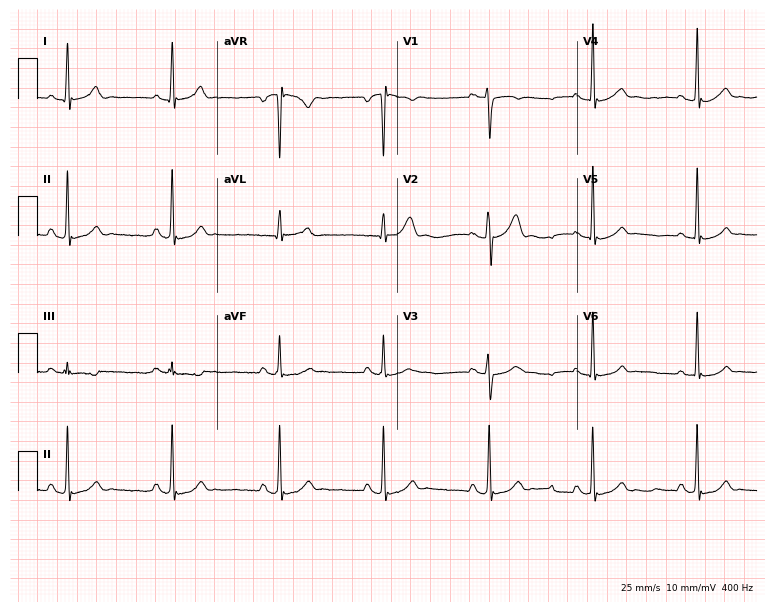
12-lead ECG from a man, 19 years old (7.3-second recording at 400 Hz). Recorded interpretation: within normal limits.